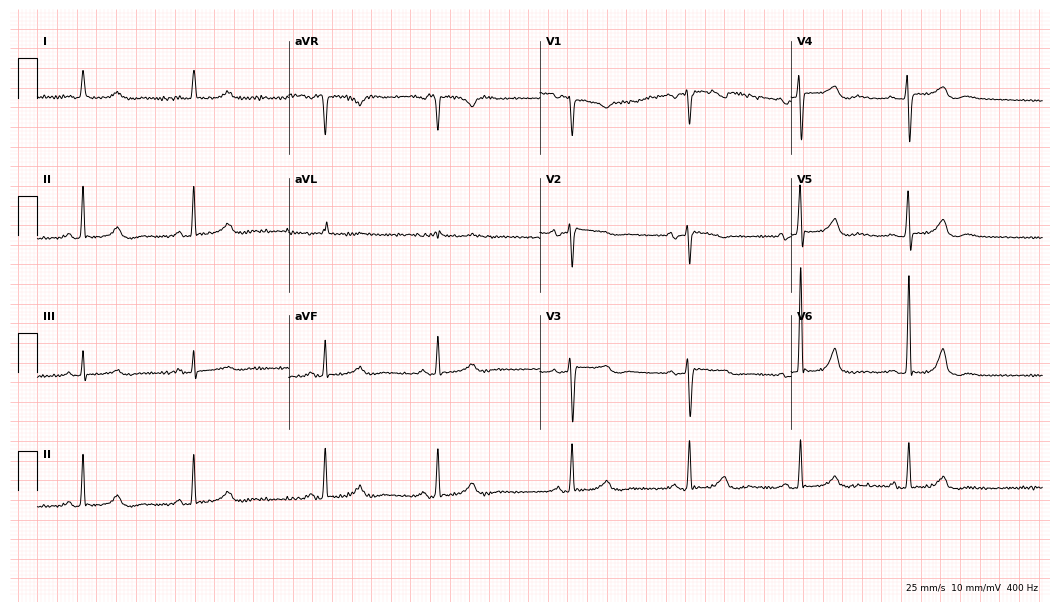
Electrocardiogram, a 75-year-old woman. Interpretation includes sinus bradycardia (a sinus rate of 50 beats per minute or less).